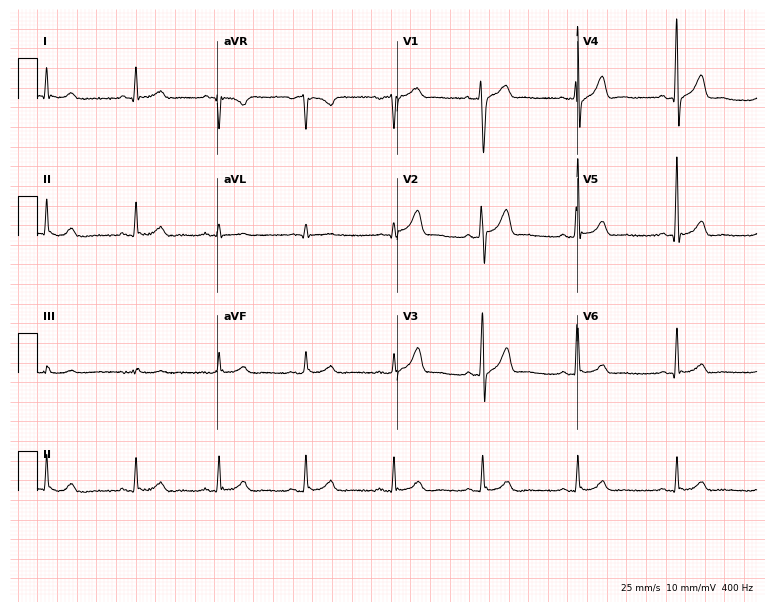
Electrocardiogram, a male patient, 58 years old. Of the six screened findings (first-degree AV block, right bundle branch block, left bundle branch block, sinus bradycardia, atrial fibrillation, sinus tachycardia), none is recorded. Other findings, if any, are not listed.